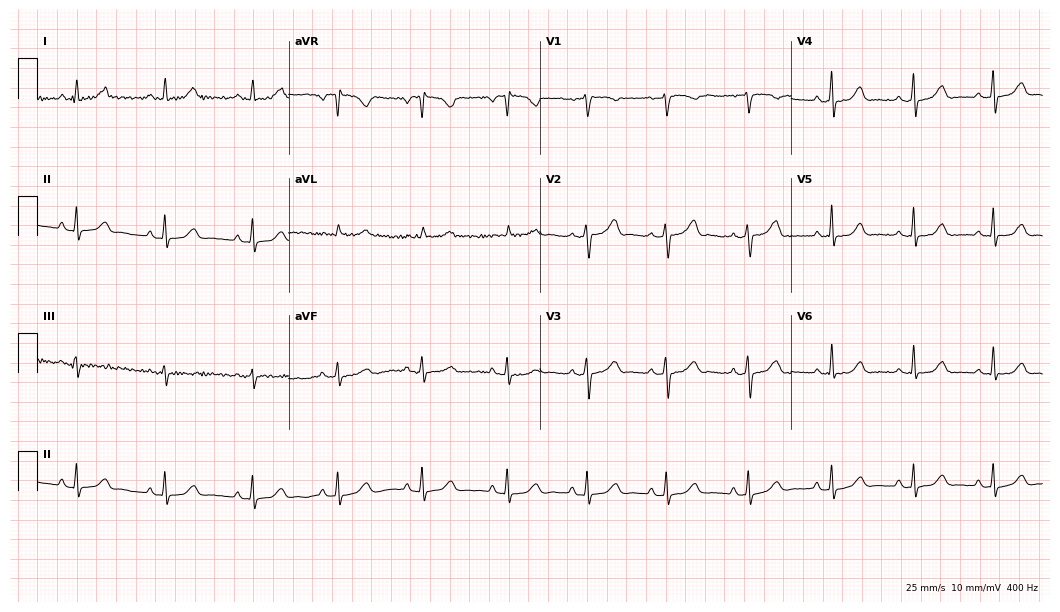
Standard 12-lead ECG recorded from a female patient, 47 years old. Read as a normal ECG.